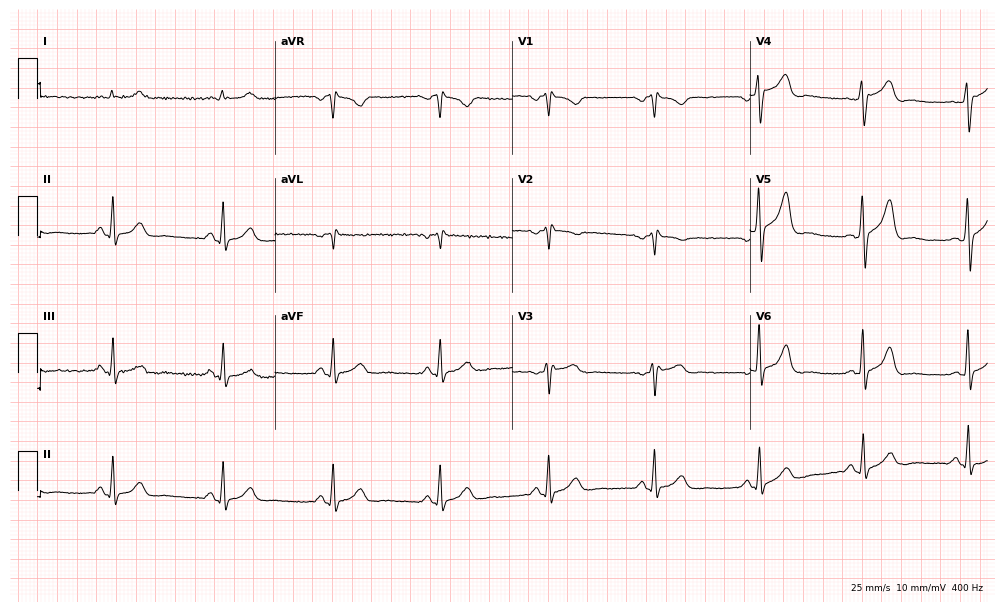
Standard 12-lead ECG recorded from a 49-year-old male. None of these six findings is recorded: first-degree AV block, right bundle branch block, left bundle branch block, sinus bradycardia, atrial fibrillation, sinus tachycardia.